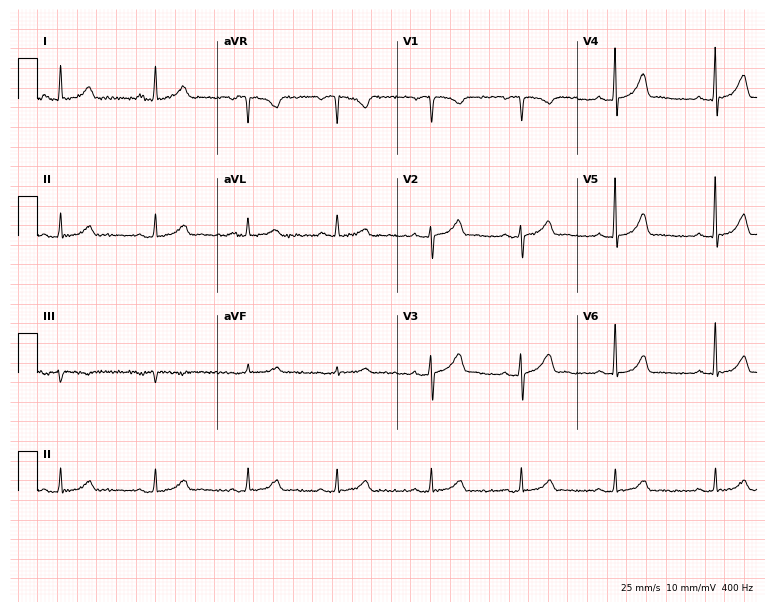
12-lead ECG (7.3-second recording at 400 Hz) from a woman, 33 years old. Labelled as a normal ECG.